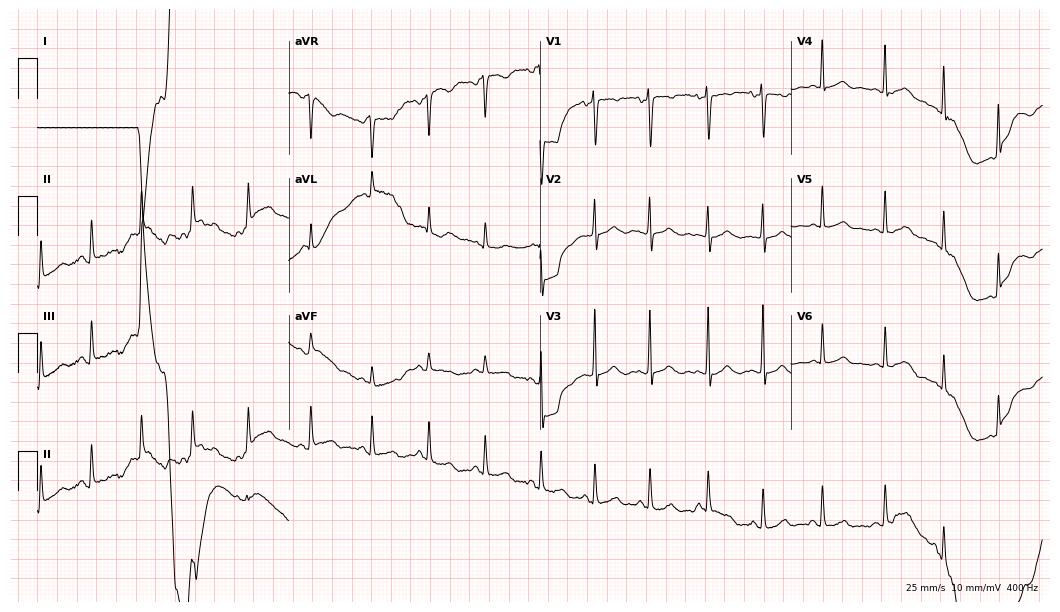
12-lead ECG from a 41-year-old female (10.2-second recording at 400 Hz). No first-degree AV block, right bundle branch block (RBBB), left bundle branch block (LBBB), sinus bradycardia, atrial fibrillation (AF) or sinus tachycardia recorded for this tracing. Only these six findings were labelled.